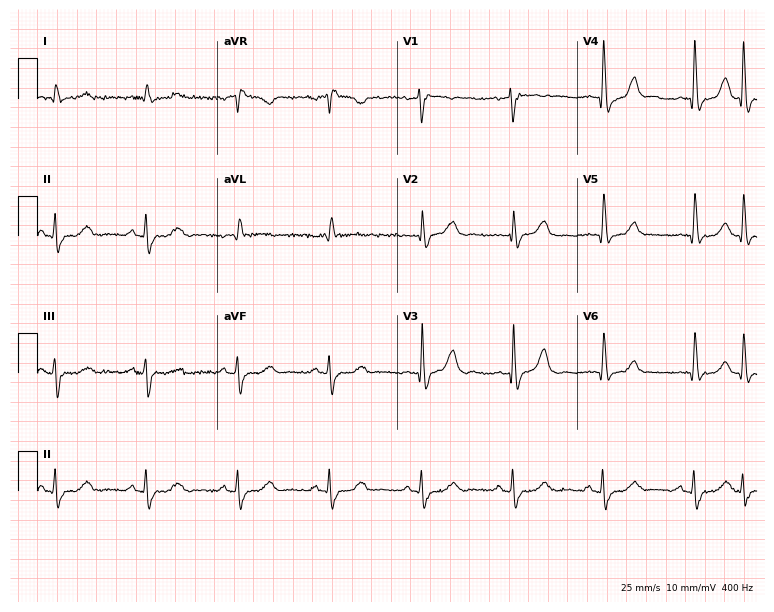
Resting 12-lead electrocardiogram (7.3-second recording at 400 Hz). Patient: an 85-year-old male. None of these six findings is recorded: first-degree AV block, right bundle branch block, left bundle branch block, sinus bradycardia, atrial fibrillation, sinus tachycardia.